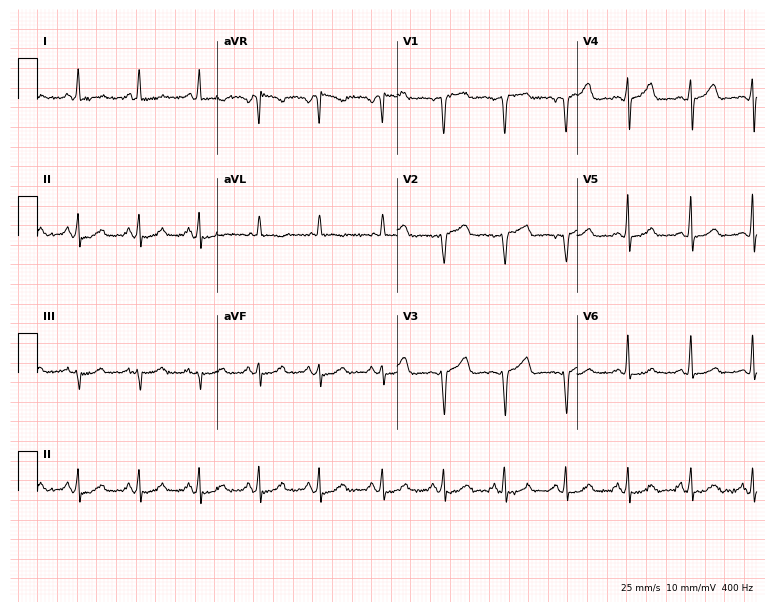
12-lead ECG from a female, 63 years old (7.3-second recording at 400 Hz). No first-degree AV block, right bundle branch block, left bundle branch block, sinus bradycardia, atrial fibrillation or sinus tachycardia recorded for this tracing. Other findings, if any, are not listed.